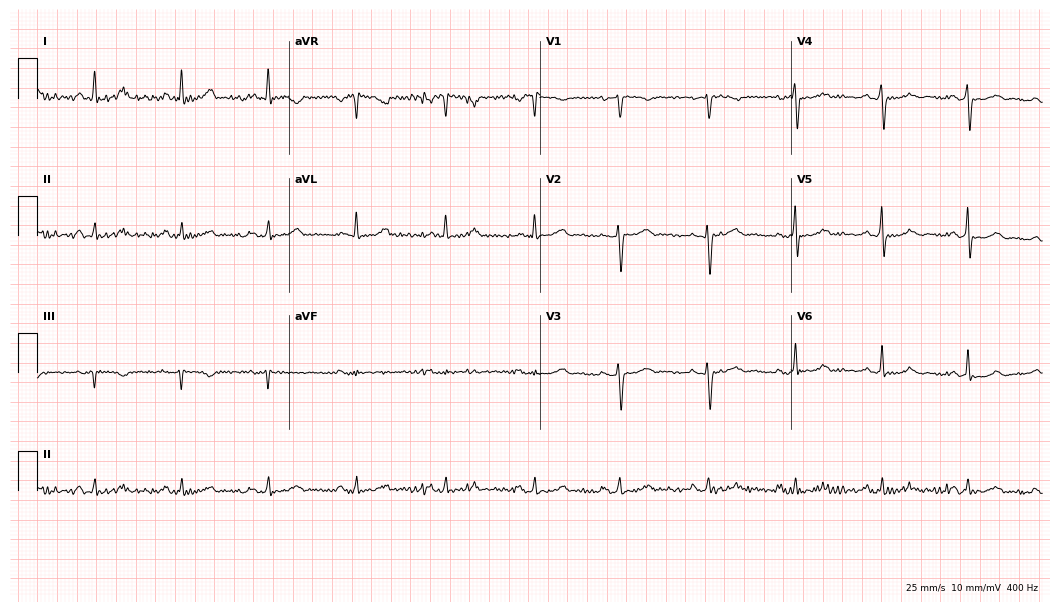
Resting 12-lead electrocardiogram (10.2-second recording at 400 Hz). Patient: a female, 54 years old. None of these six findings is recorded: first-degree AV block, right bundle branch block, left bundle branch block, sinus bradycardia, atrial fibrillation, sinus tachycardia. Other findings, if any, are not listed.